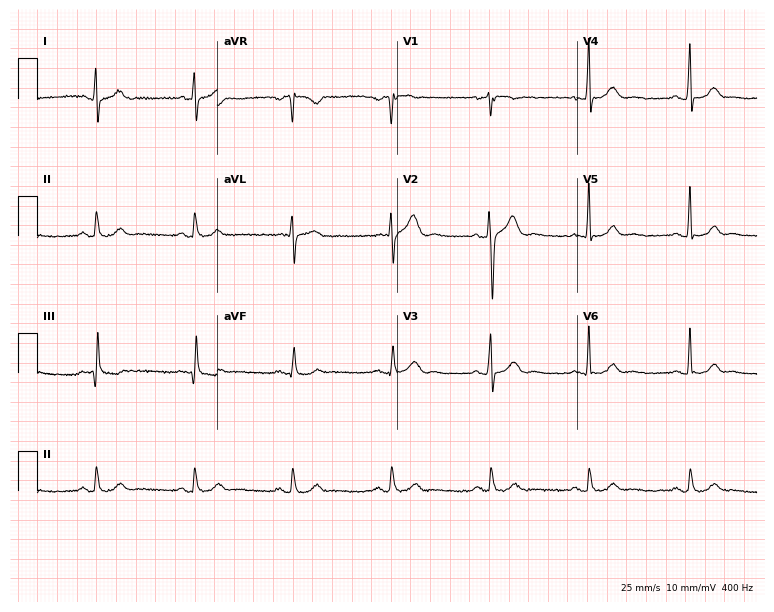
12-lead ECG from a male patient, 42 years old. Labelled as a normal ECG.